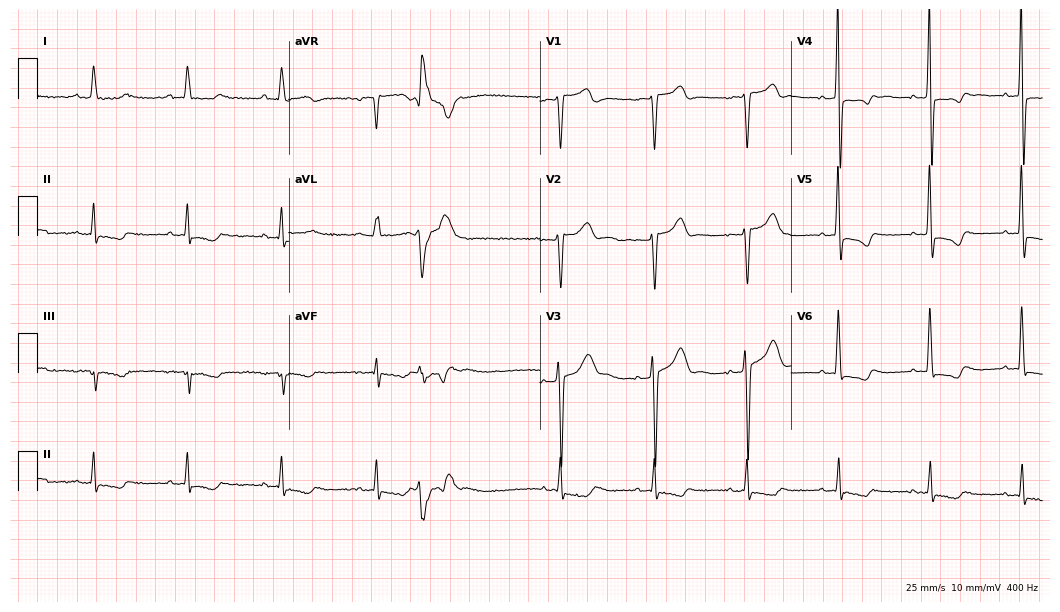
Standard 12-lead ECG recorded from a man, 60 years old. None of these six findings is recorded: first-degree AV block, right bundle branch block (RBBB), left bundle branch block (LBBB), sinus bradycardia, atrial fibrillation (AF), sinus tachycardia. Only these six findings were labelled.